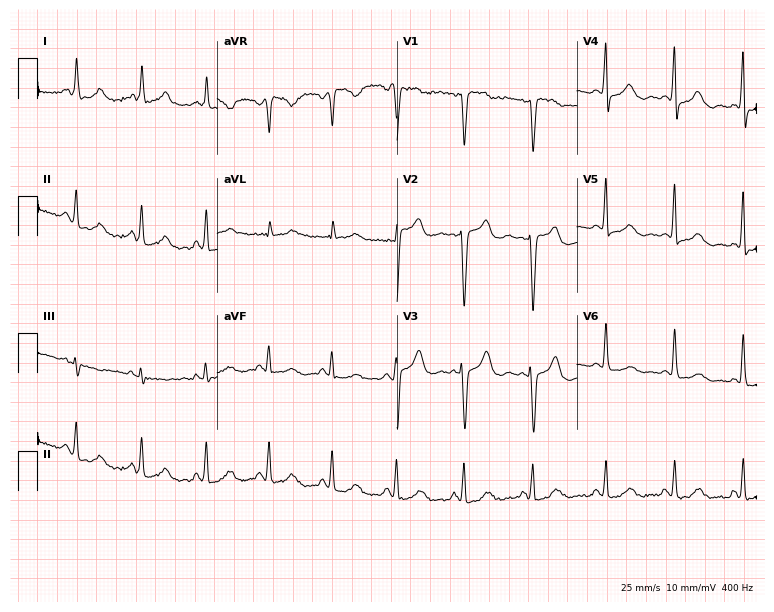
12-lead ECG (7.3-second recording at 400 Hz) from a female patient, 40 years old. Screened for six findings — first-degree AV block, right bundle branch block (RBBB), left bundle branch block (LBBB), sinus bradycardia, atrial fibrillation (AF), sinus tachycardia — none is recorded. Only these six findings were labelled.